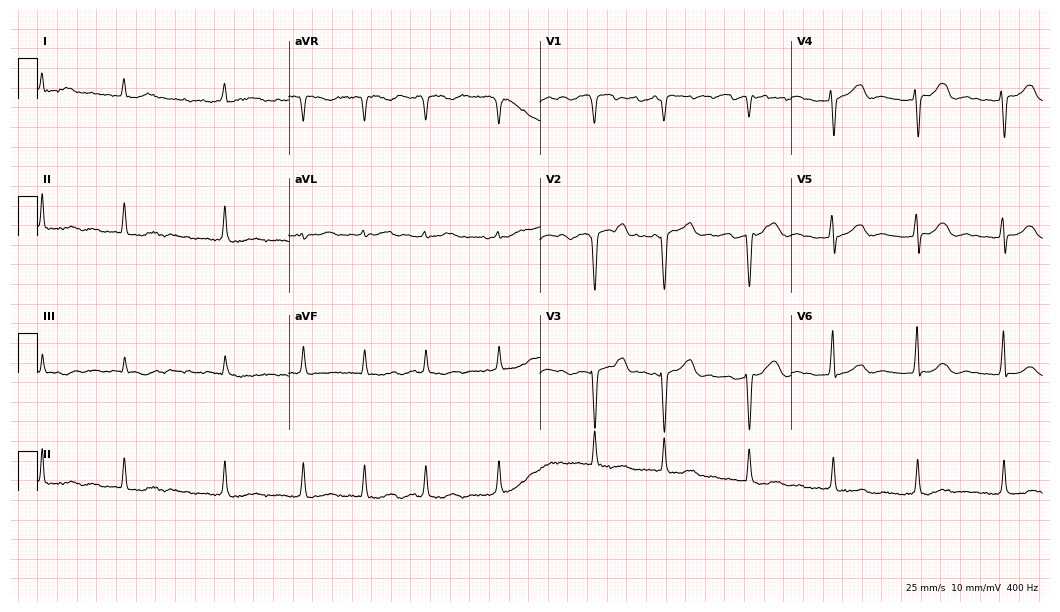
Electrocardiogram (10.2-second recording at 400 Hz), a 72-year-old female. Interpretation includes atrial fibrillation (AF).